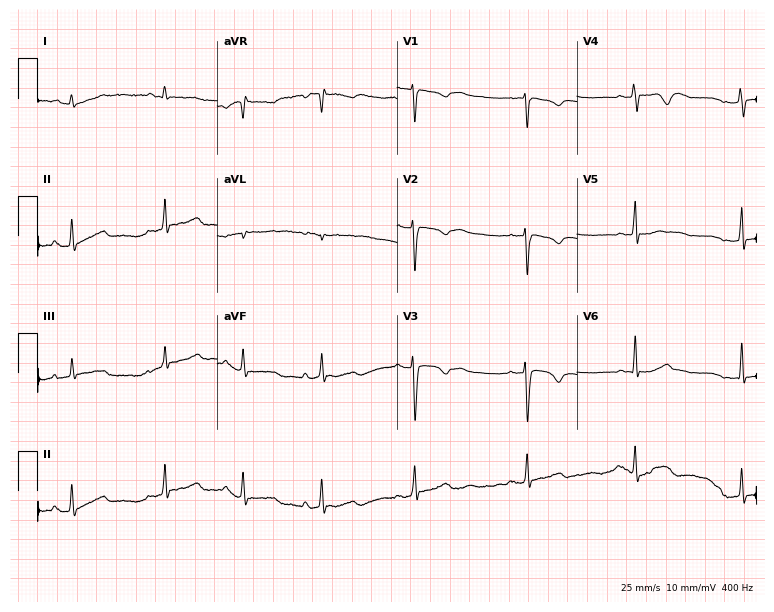
Resting 12-lead electrocardiogram (7.3-second recording at 400 Hz). Patient: a 23-year-old female. None of these six findings is recorded: first-degree AV block, right bundle branch block, left bundle branch block, sinus bradycardia, atrial fibrillation, sinus tachycardia.